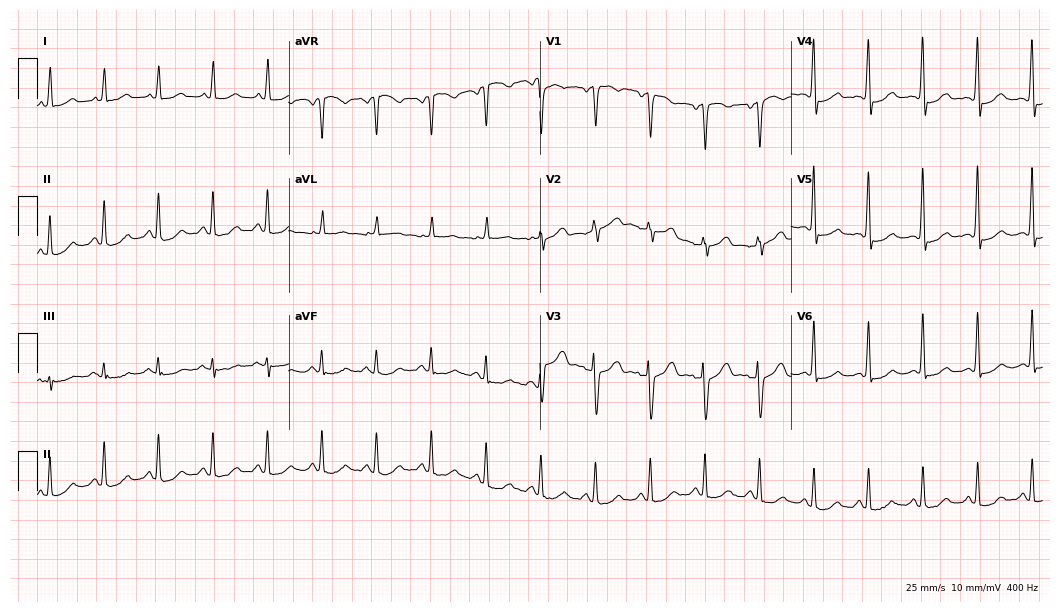
Standard 12-lead ECG recorded from a 56-year-old woman. The tracing shows sinus tachycardia (a sinus rate of 100 beats per minute or more).